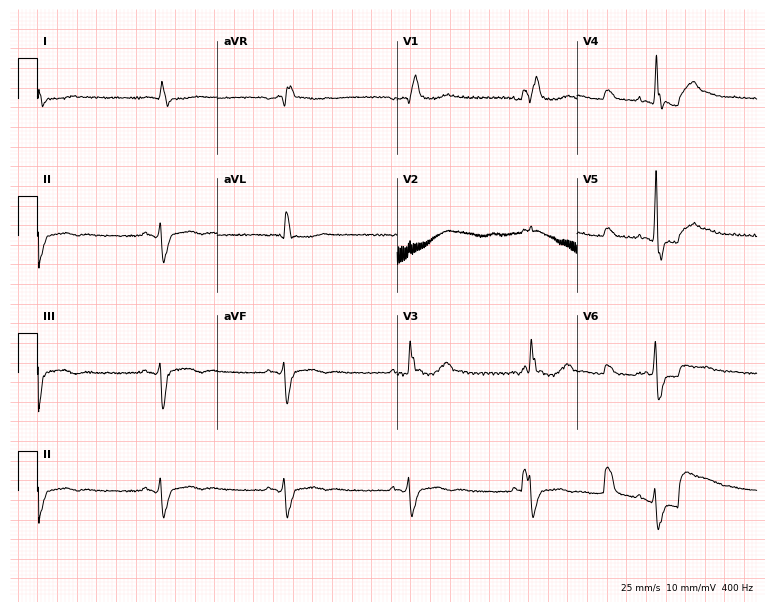
Standard 12-lead ECG recorded from a man, 69 years old. None of these six findings is recorded: first-degree AV block, right bundle branch block (RBBB), left bundle branch block (LBBB), sinus bradycardia, atrial fibrillation (AF), sinus tachycardia.